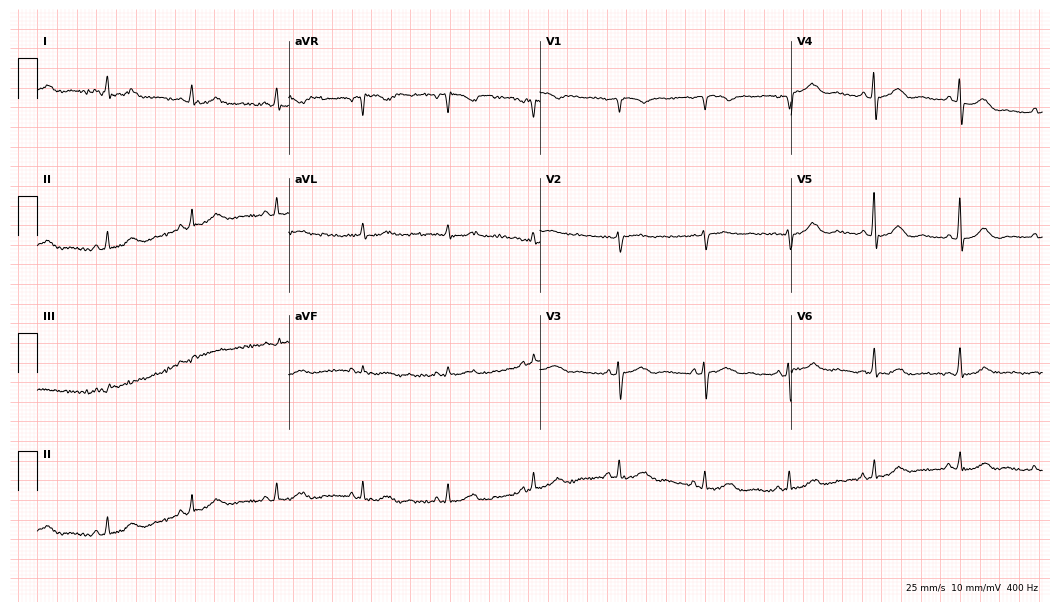
12-lead ECG from a female patient, 75 years old. Recorded interpretation: within normal limits.